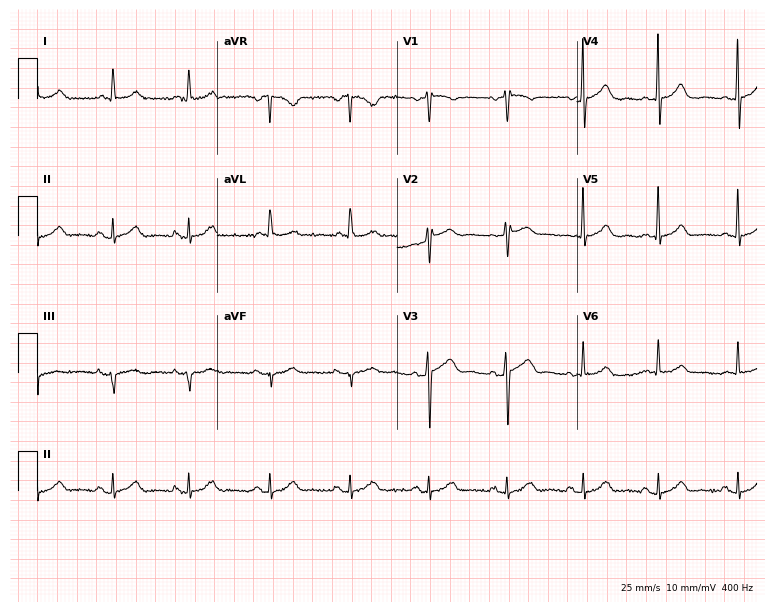
ECG — a 69-year-old female patient. Labelled as a normal ECG.